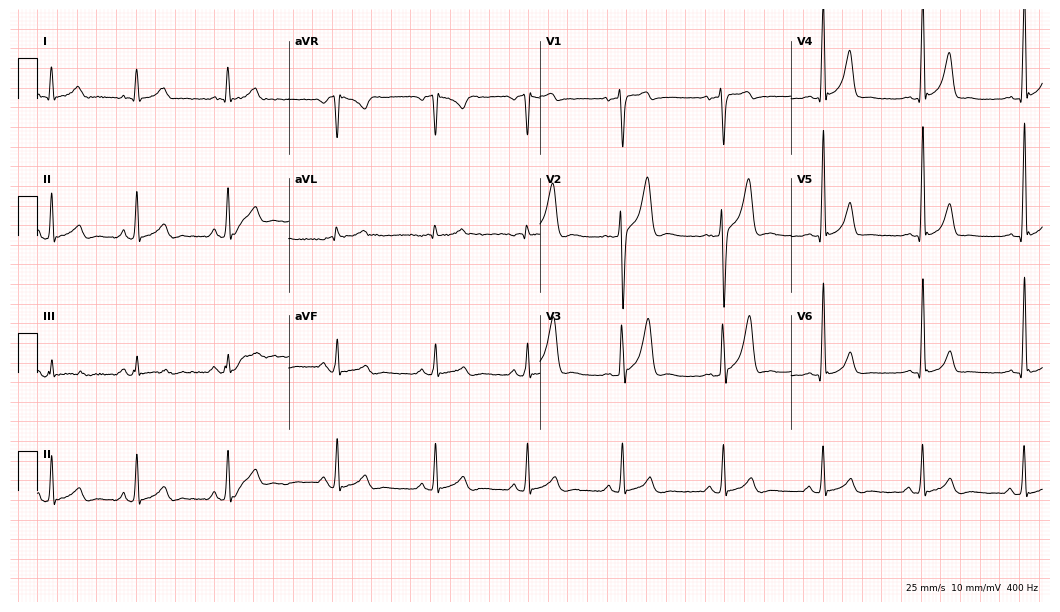
12-lead ECG from a male, 27 years old. Screened for six findings — first-degree AV block, right bundle branch block, left bundle branch block, sinus bradycardia, atrial fibrillation, sinus tachycardia — none is recorded.